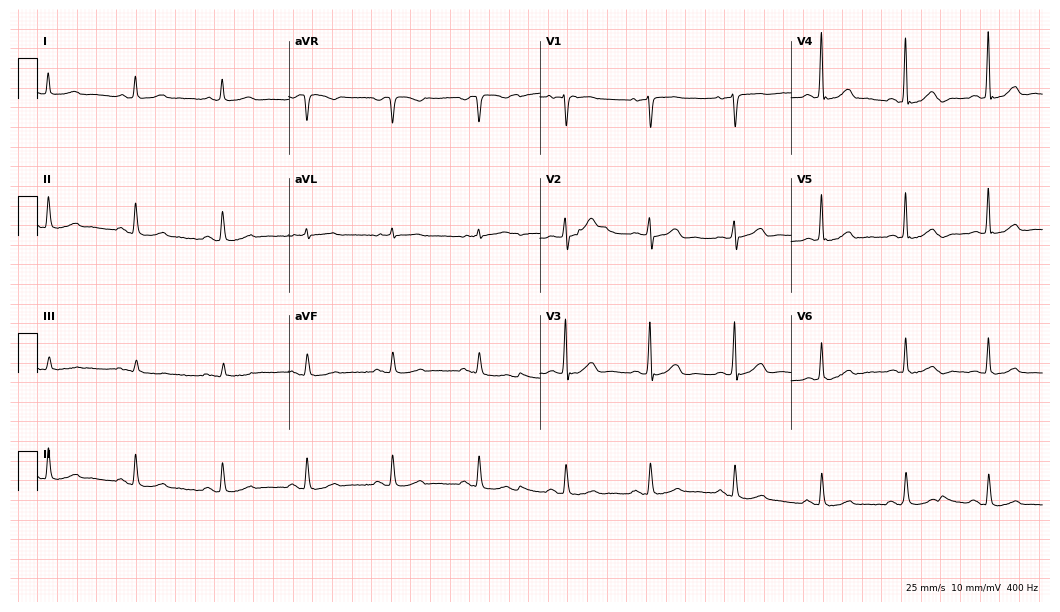
12-lead ECG from a male, 79 years old. Labelled as a normal ECG.